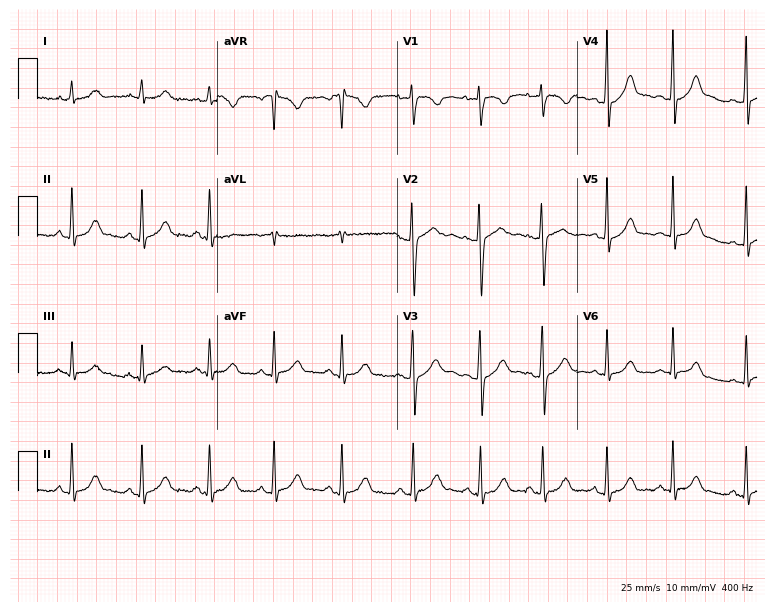
12-lead ECG from a female, 25 years old. Labelled as a normal ECG.